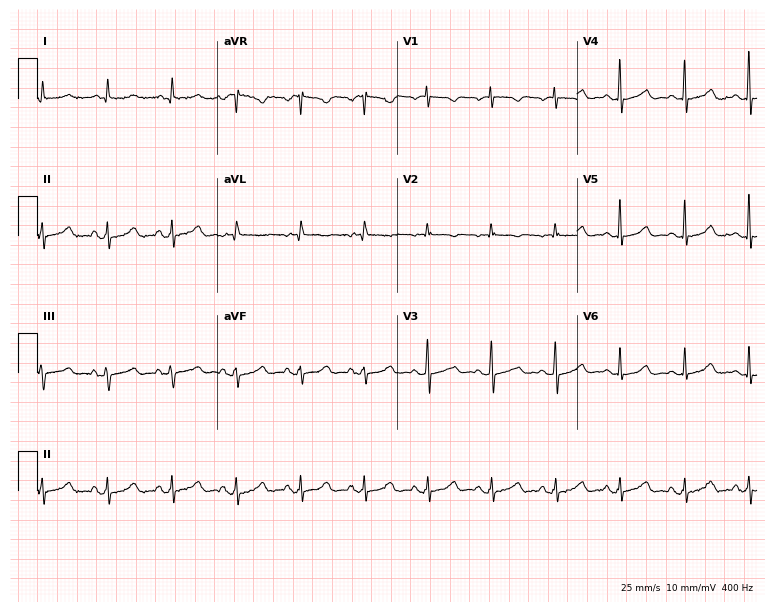
Resting 12-lead electrocardiogram (7.3-second recording at 400 Hz). Patient: a 70-year-old female. Read as a normal ECG.